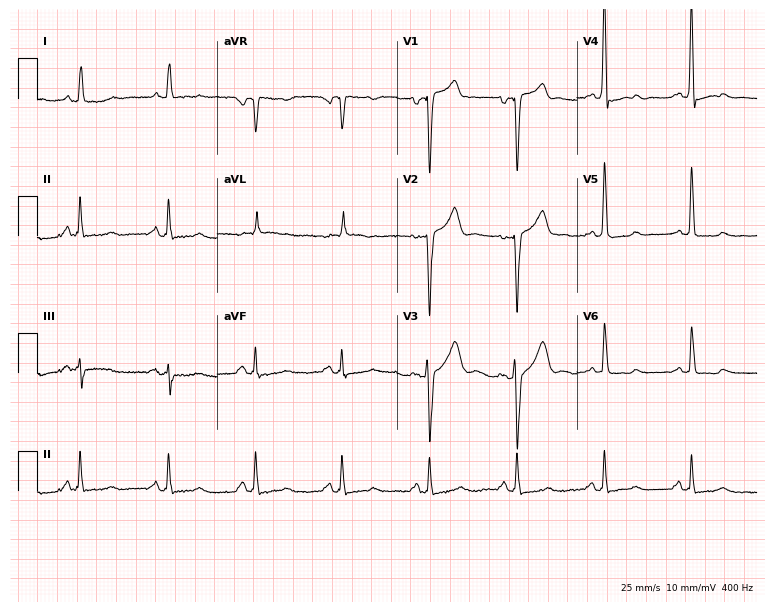
12-lead ECG from a male patient, 66 years old. Screened for six findings — first-degree AV block, right bundle branch block, left bundle branch block, sinus bradycardia, atrial fibrillation, sinus tachycardia — none is recorded. Other findings, if any, are not listed.